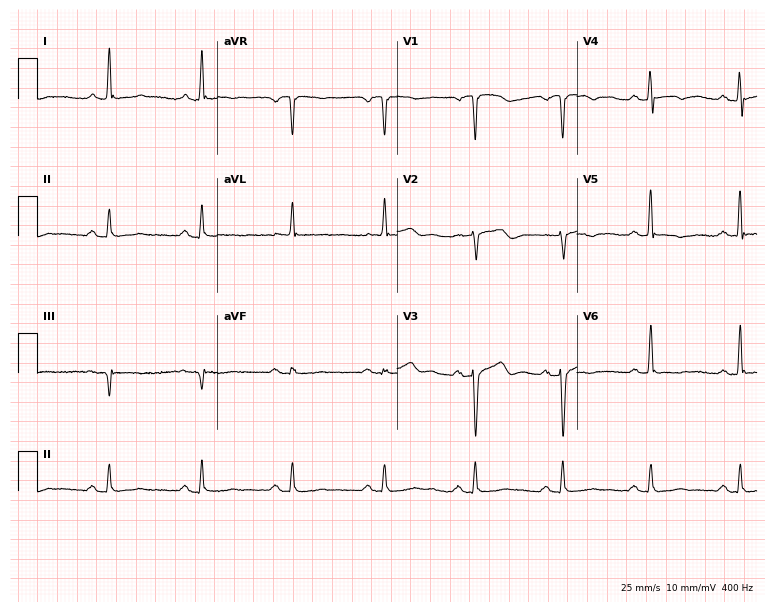
Standard 12-lead ECG recorded from a man, 74 years old (7.3-second recording at 400 Hz). None of these six findings is recorded: first-degree AV block, right bundle branch block (RBBB), left bundle branch block (LBBB), sinus bradycardia, atrial fibrillation (AF), sinus tachycardia.